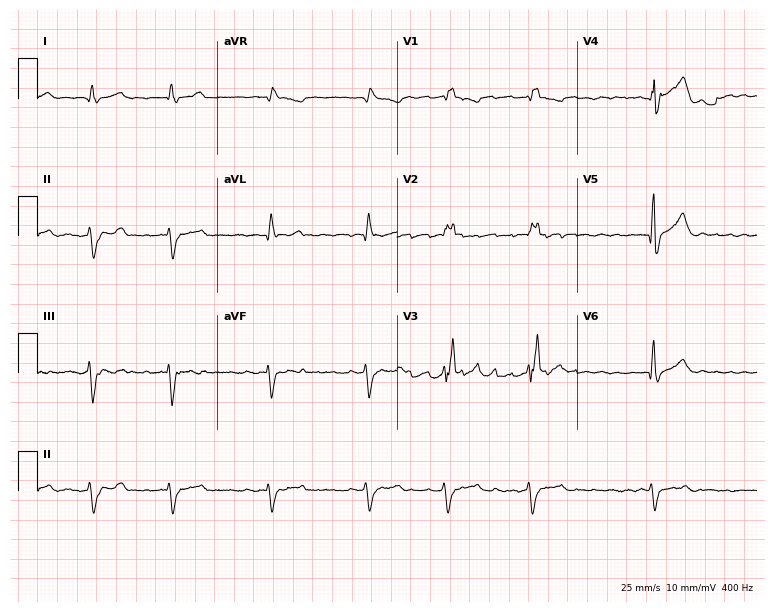
12-lead ECG from a woman, 72 years old. Shows right bundle branch block, atrial fibrillation.